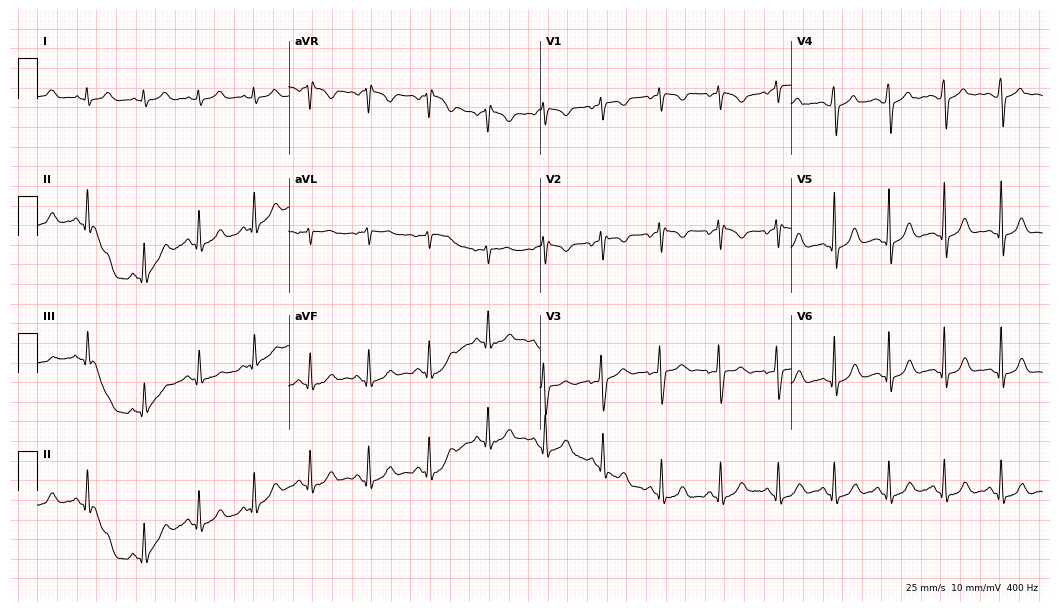
Standard 12-lead ECG recorded from a woman, 23 years old. Read as a normal ECG.